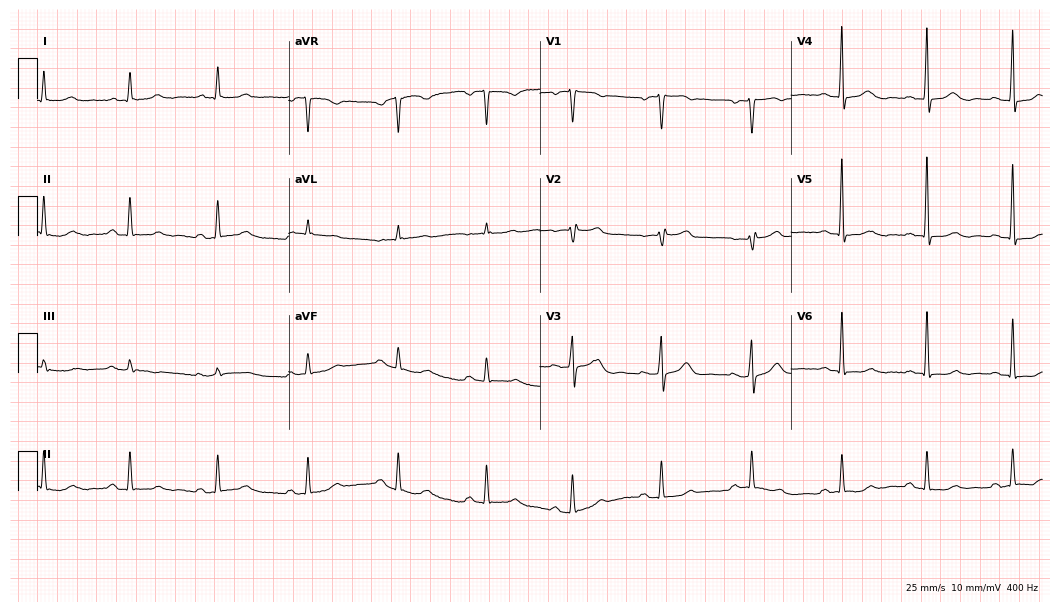
Resting 12-lead electrocardiogram. Patient: a female, 44 years old. Read as a normal ECG.